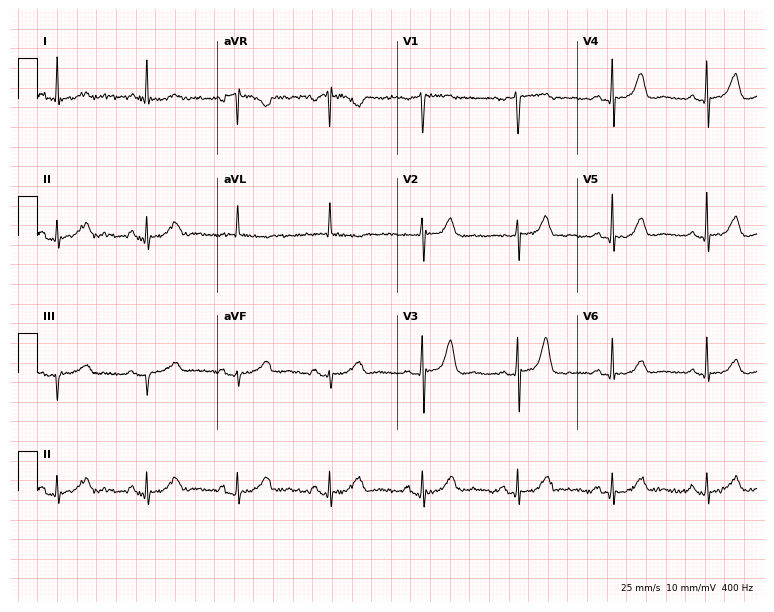
ECG — a female, 74 years old. Labelled as a normal ECG.